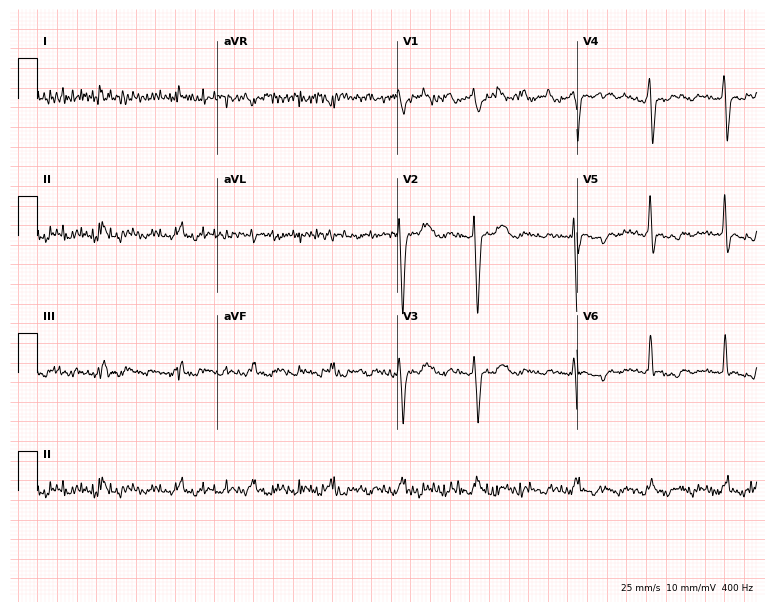
ECG — a male, 81 years old. Findings include atrial fibrillation (AF).